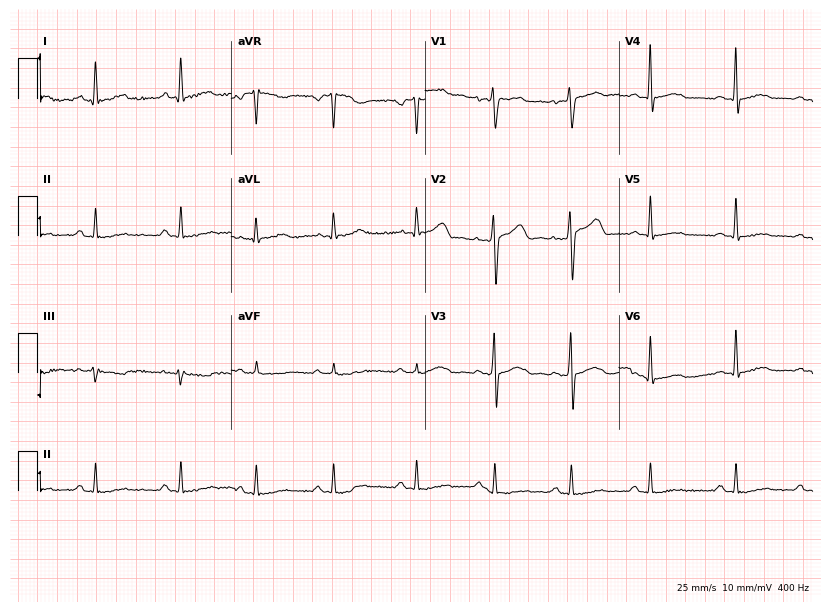
ECG (7.9-second recording at 400 Hz) — a 44-year-old female patient. Screened for six findings — first-degree AV block, right bundle branch block, left bundle branch block, sinus bradycardia, atrial fibrillation, sinus tachycardia — none is recorded.